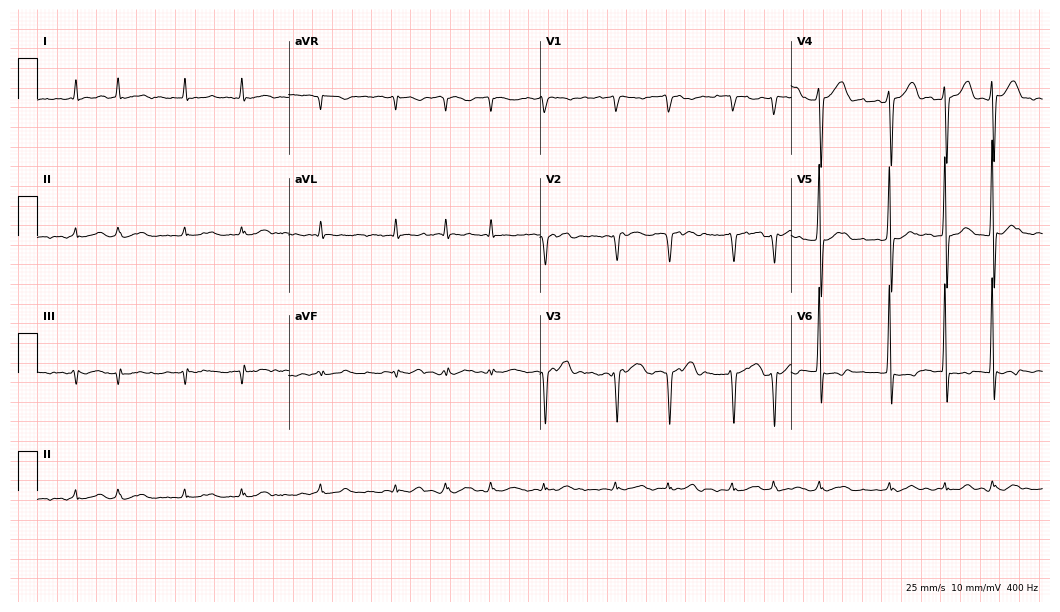
Electrocardiogram (10.2-second recording at 400 Hz), a male, 73 years old. Of the six screened findings (first-degree AV block, right bundle branch block (RBBB), left bundle branch block (LBBB), sinus bradycardia, atrial fibrillation (AF), sinus tachycardia), none is recorded. Only these six findings were labelled.